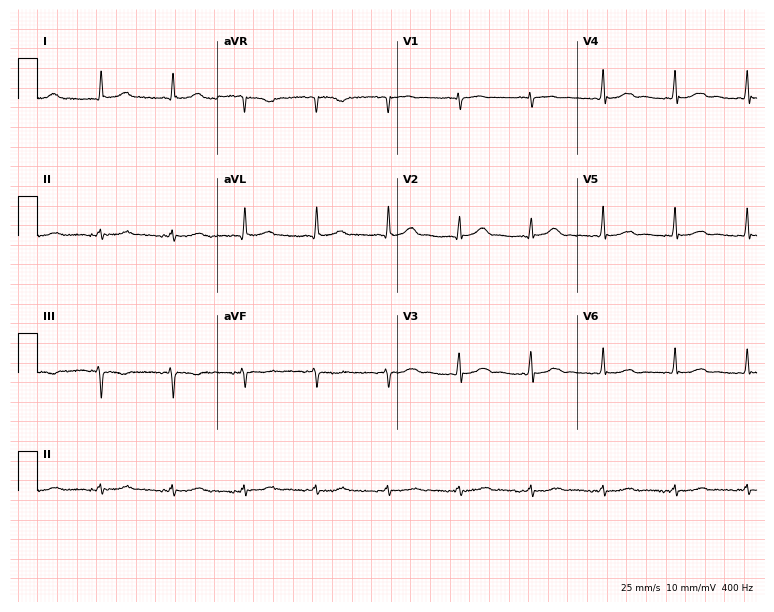
Electrocardiogram (7.3-second recording at 400 Hz), a male, 81 years old. Of the six screened findings (first-degree AV block, right bundle branch block, left bundle branch block, sinus bradycardia, atrial fibrillation, sinus tachycardia), none is recorded. Other findings, if any, are not listed.